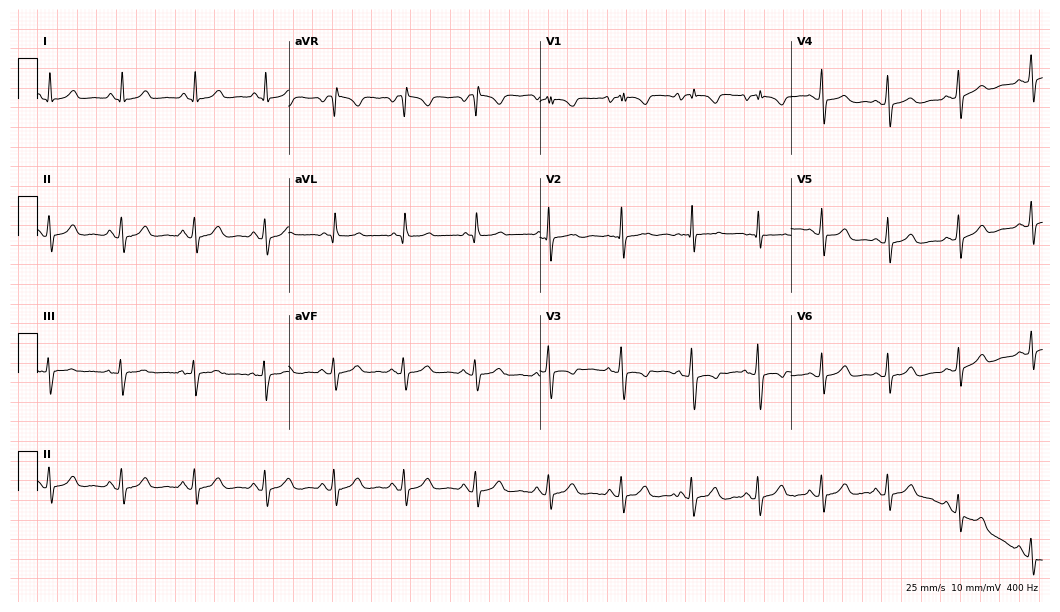
Standard 12-lead ECG recorded from a female patient, 40 years old. None of these six findings is recorded: first-degree AV block, right bundle branch block (RBBB), left bundle branch block (LBBB), sinus bradycardia, atrial fibrillation (AF), sinus tachycardia.